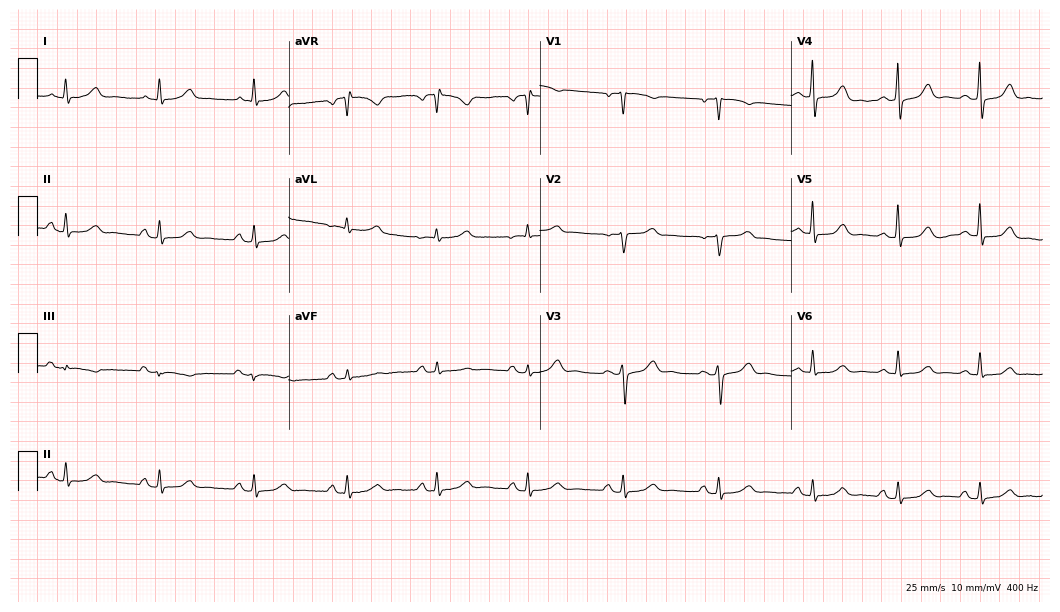
12-lead ECG from a 72-year-old female patient (10.2-second recording at 400 Hz). No first-degree AV block, right bundle branch block (RBBB), left bundle branch block (LBBB), sinus bradycardia, atrial fibrillation (AF) or sinus tachycardia recorded for this tracing.